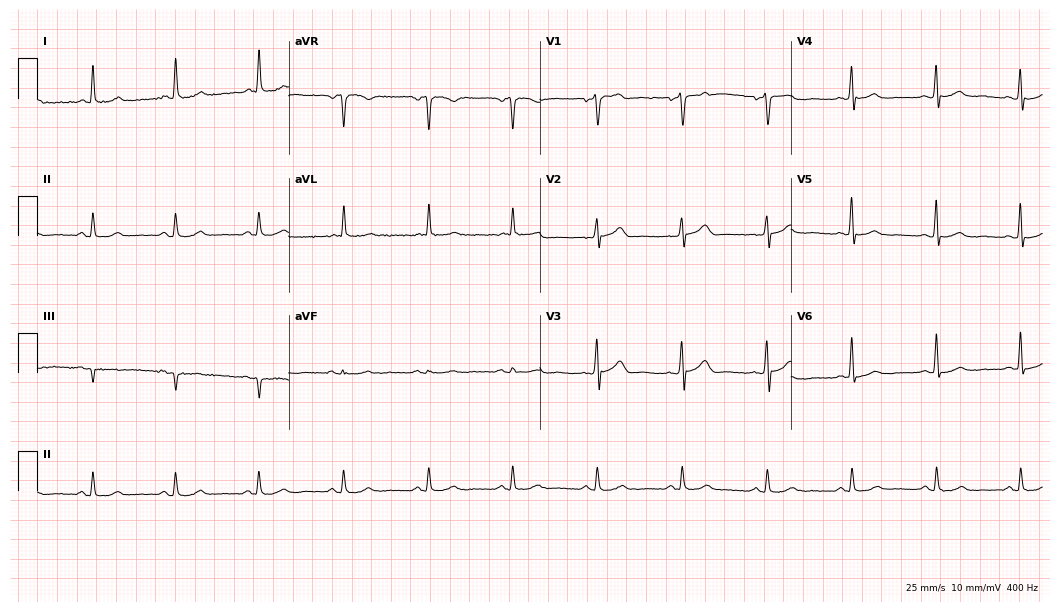
Electrocardiogram (10.2-second recording at 400 Hz), a man, 60 years old. Overall reading on record: normal ECG.